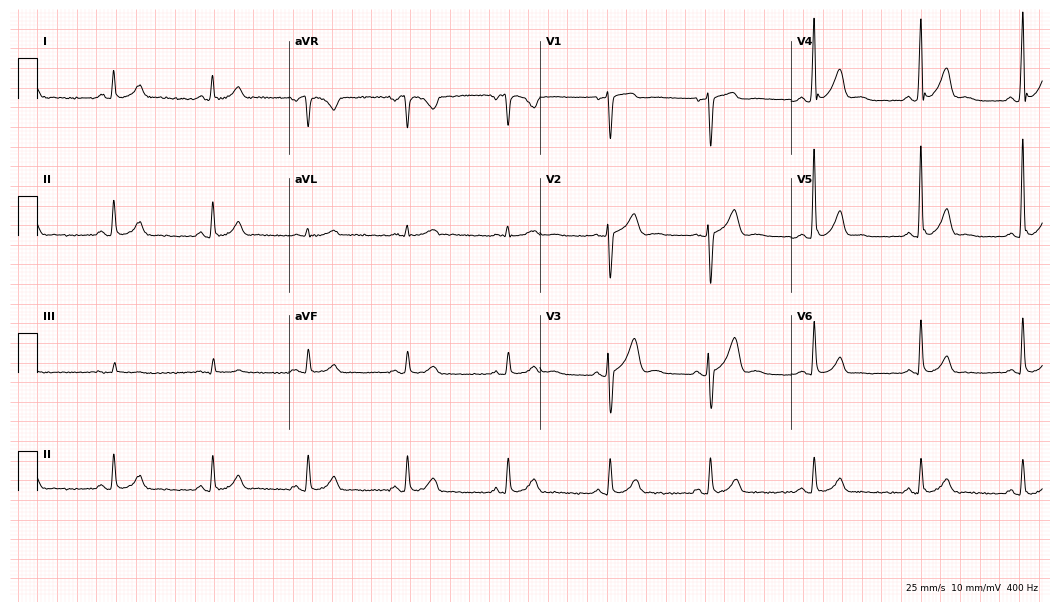
ECG (10.2-second recording at 400 Hz) — a 38-year-old man. Labelled as a normal ECG.